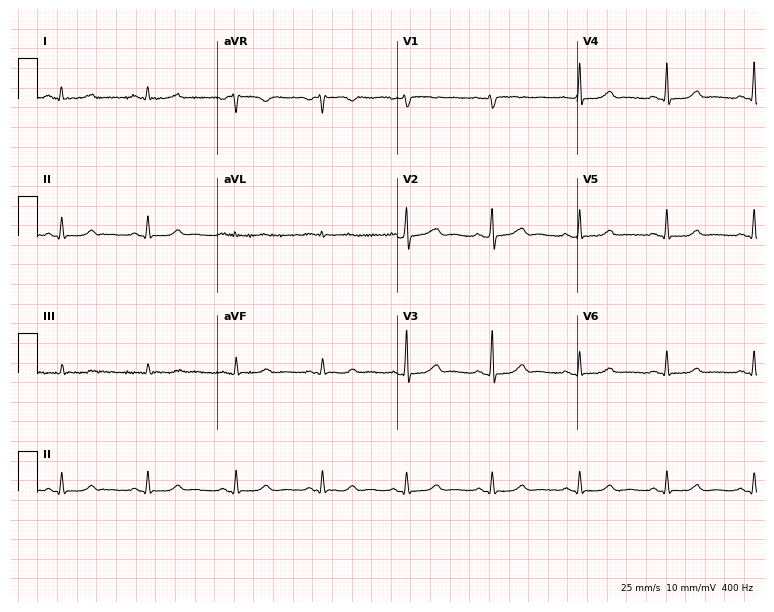
Electrocardiogram, a woman, 42 years old. Overall reading on record: normal ECG.